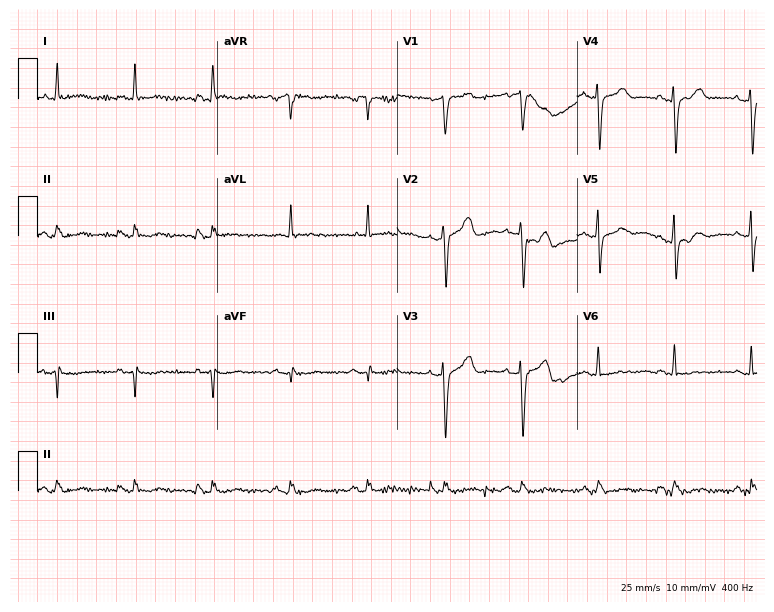
12-lead ECG from a 78-year-old man. Screened for six findings — first-degree AV block, right bundle branch block, left bundle branch block, sinus bradycardia, atrial fibrillation, sinus tachycardia — none is recorded.